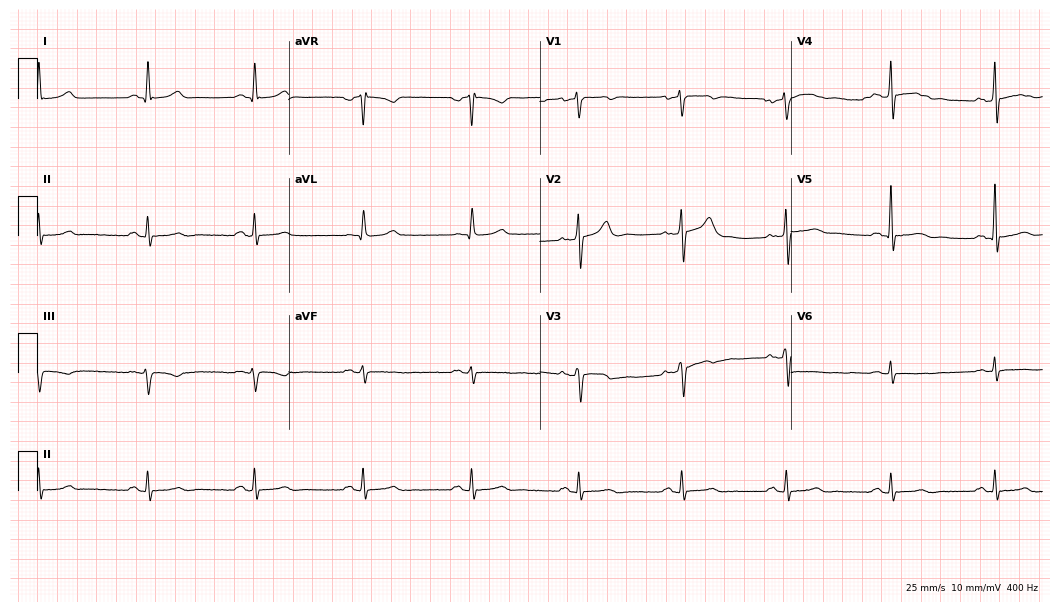
12-lead ECG from a man, 61 years old. Labelled as a normal ECG.